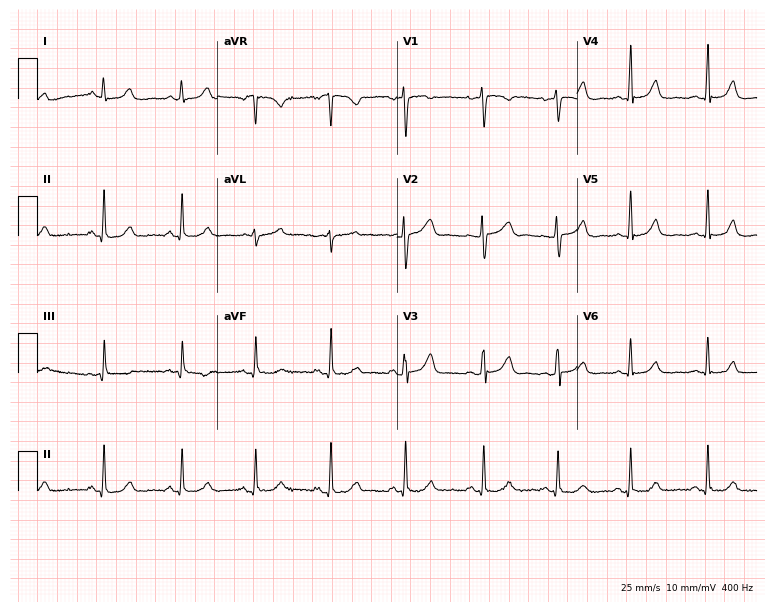
Standard 12-lead ECG recorded from a 37-year-old woman (7.3-second recording at 400 Hz). Read as a normal ECG.